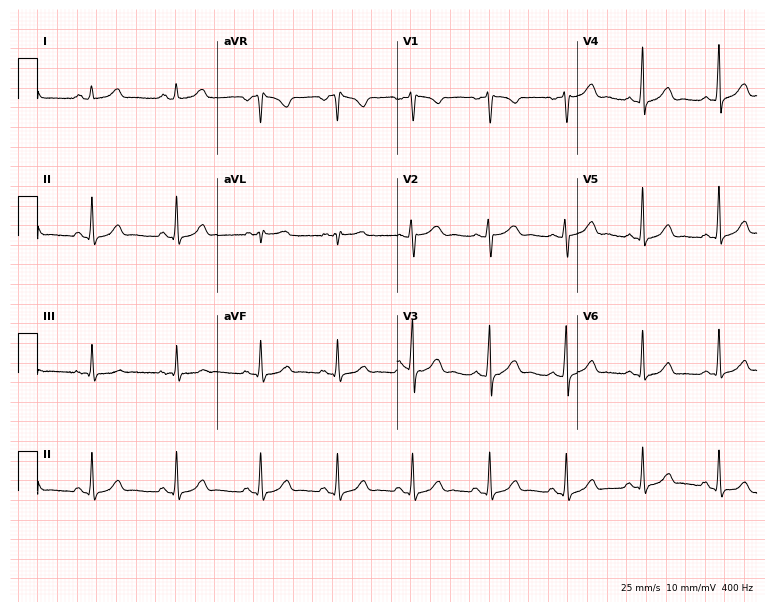
ECG — a woman, 20 years old. Labelled as a normal ECG.